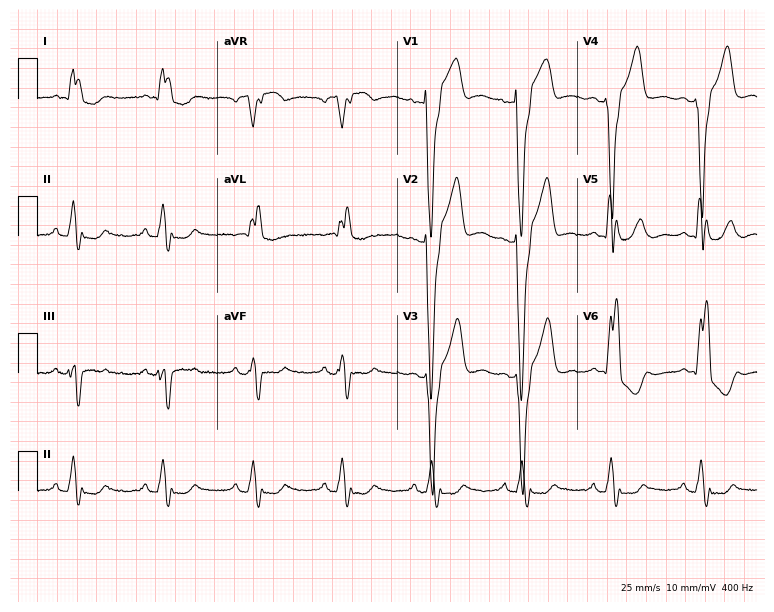
Standard 12-lead ECG recorded from a female patient, 49 years old (7.3-second recording at 400 Hz). The tracing shows left bundle branch block.